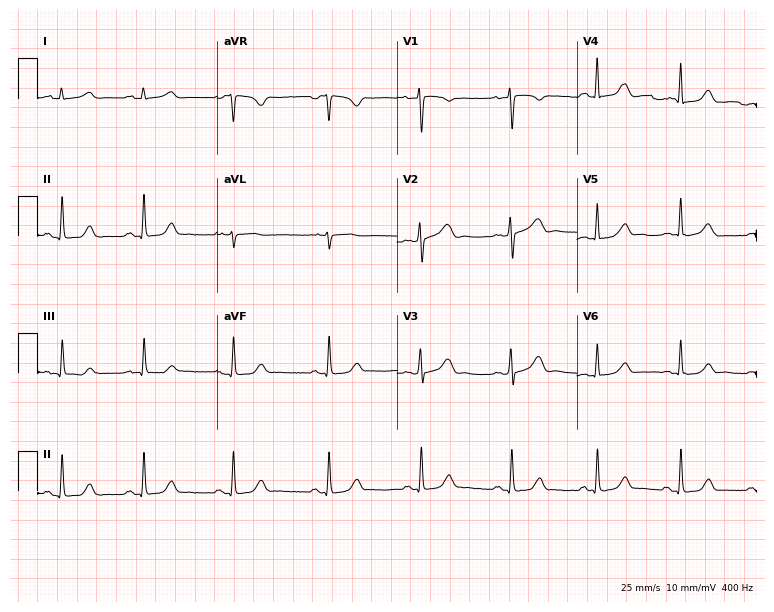
ECG — a female patient, 31 years old. Screened for six findings — first-degree AV block, right bundle branch block, left bundle branch block, sinus bradycardia, atrial fibrillation, sinus tachycardia — none is recorded.